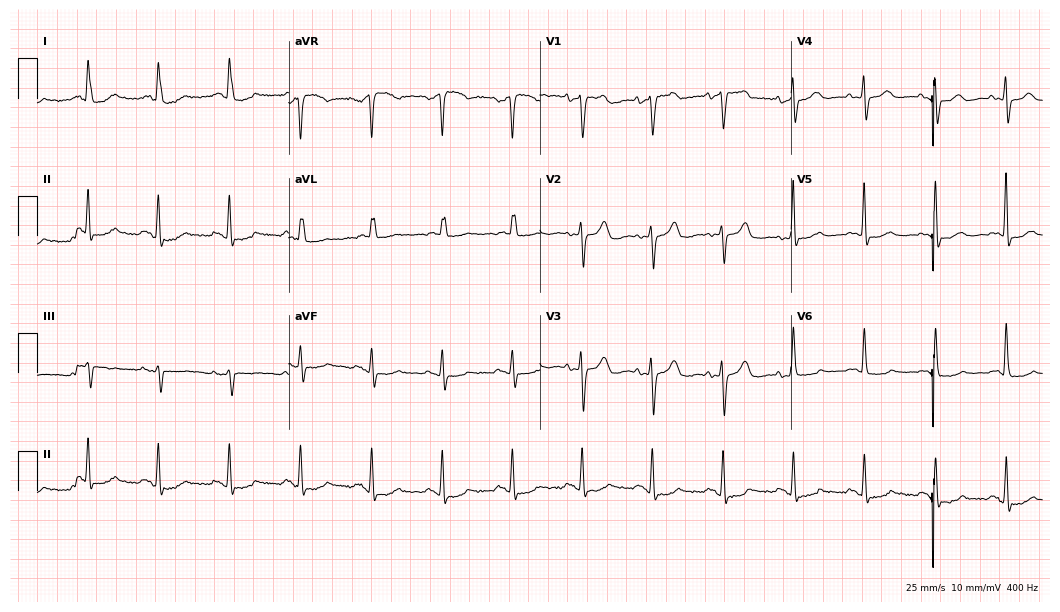
Electrocardiogram, a 75-year-old woman. Of the six screened findings (first-degree AV block, right bundle branch block, left bundle branch block, sinus bradycardia, atrial fibrillation, sinus tachycardia), none is recorded.